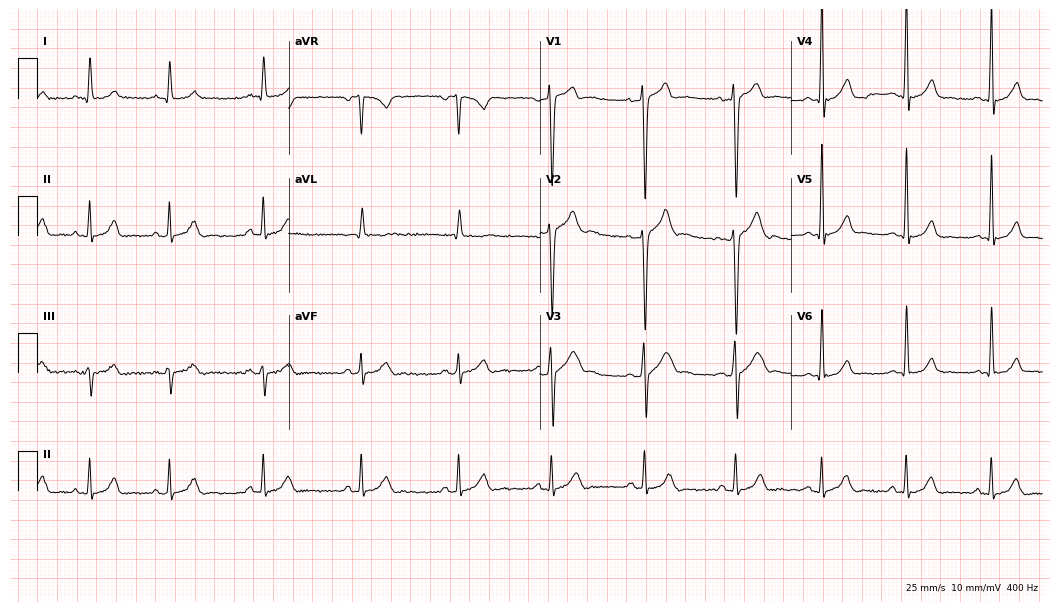
ECG (10.2-second recording at 400 Hz) — a man, 19 years old. Labelled as a normal ECG.